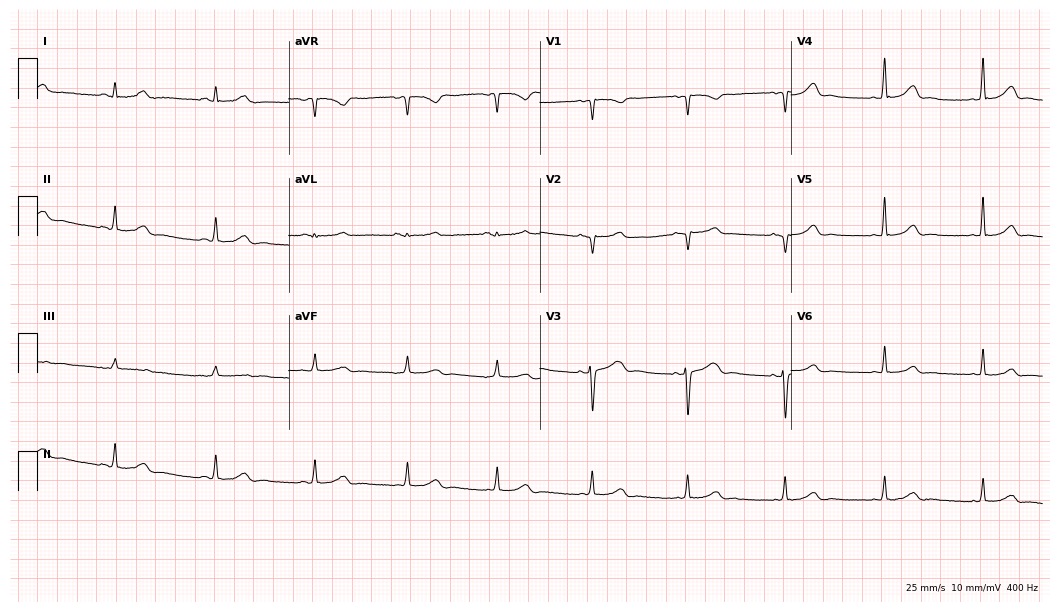
ECG (10.2-second recording at 400 Hz) — a 45-year-old woman. Labelled as a normal ECG.